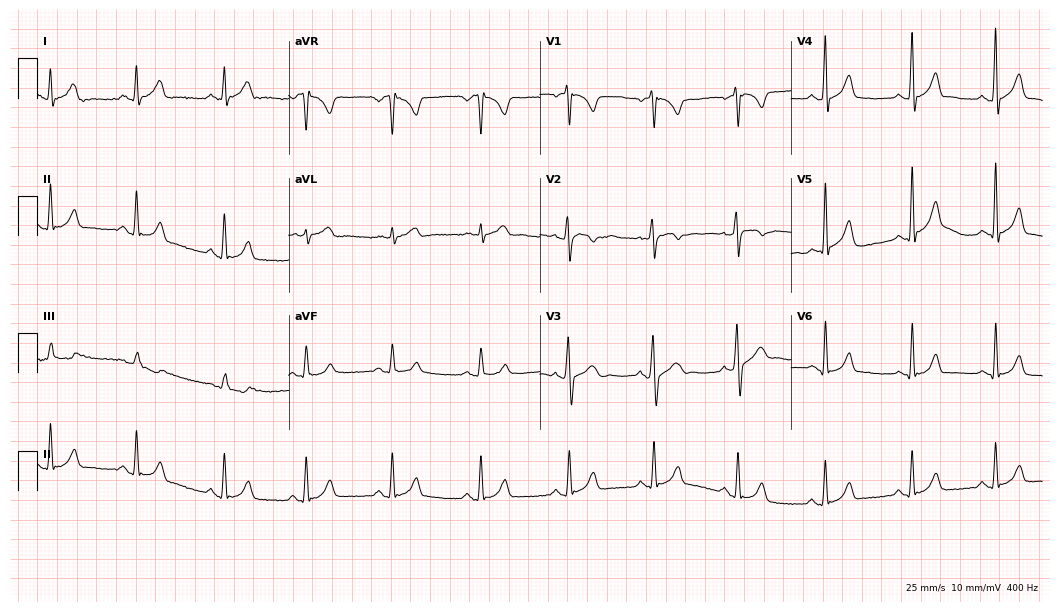
Resting 12-lead electrocardiogram (10.2-second recording at 400 Hz). Patient: a male, 22 years old. None of these six findings is recorded: first-degree AV block, right bundle branch block, left bundle branch block, sinus bradycardia, atrial fibrillation, sinus tachycardia. Only these six findings were labelled.